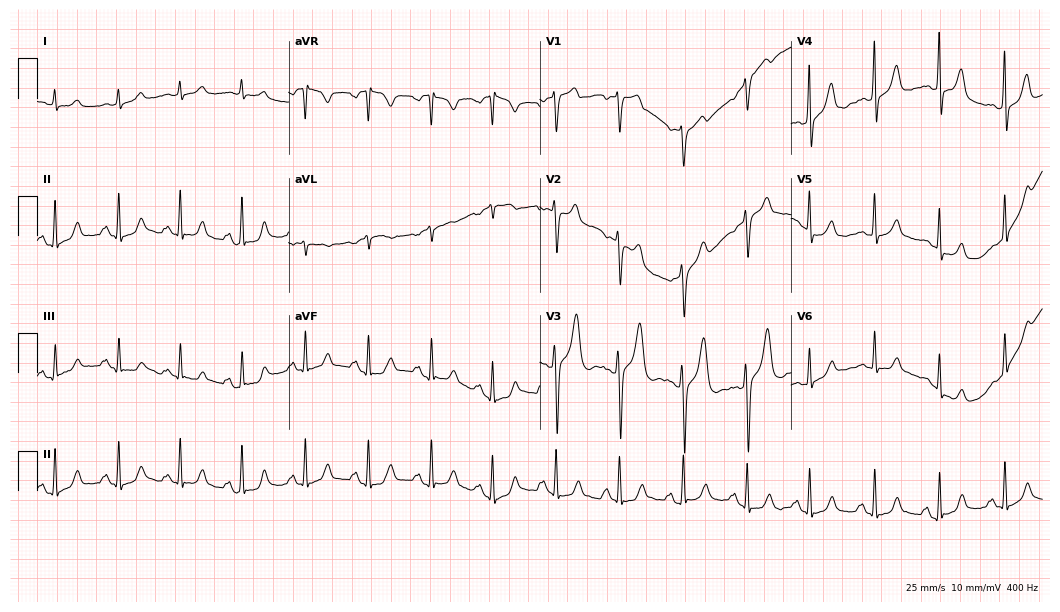
12-lead ECG from a 66-year-old woman (10.2-second recording at 400 Hz). Recorded interpretation: within normal limits.